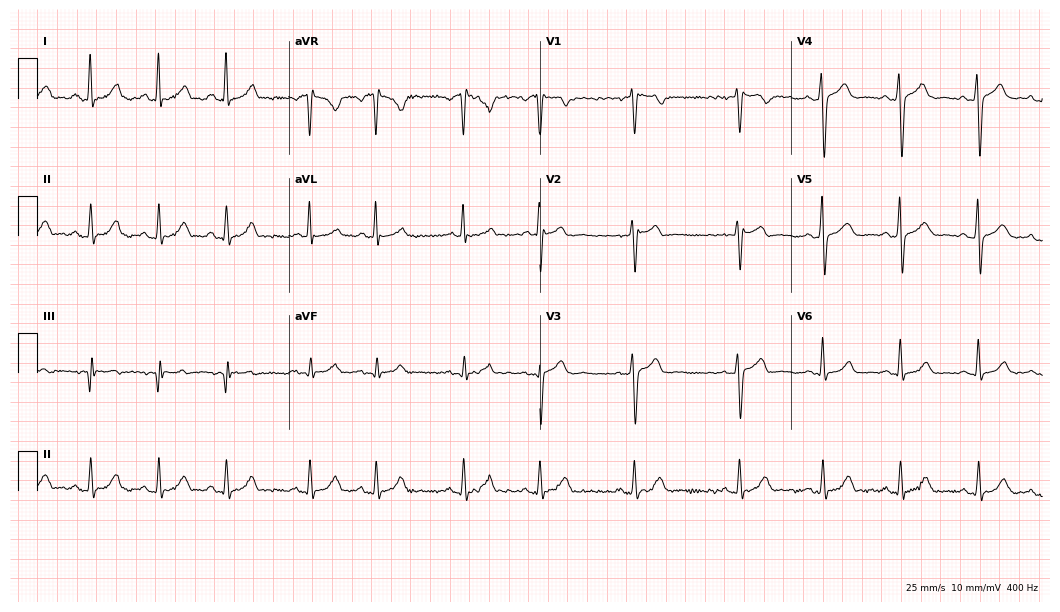
12-lead ECG (10.2-second recording at 400 Hz) from a 35-year-old woman. Screened for six findings — first-degree AV block, right bundle branch block, left bundle branch block, sinus bradycardia, atrial fibrillation, sinus tachycardia — none is recorded.